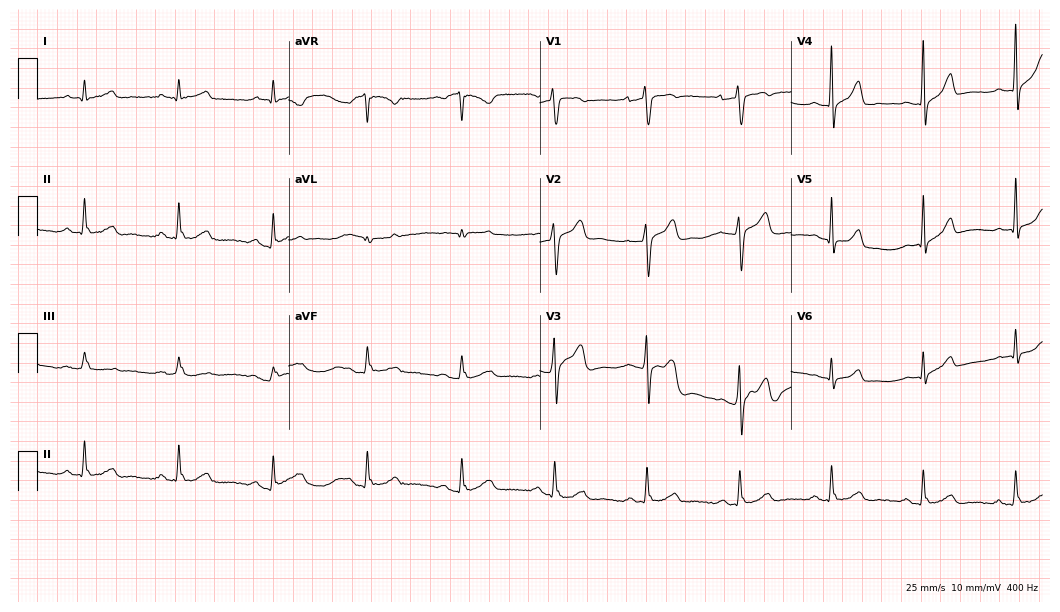
12-lead ECG (10.2-second recording at 400 Hz) from a male patient, 56 years old. Screened for six findings — first-degree AV block, right bundle branch block, left bundle branch block, sinus bradycardia, atrial fibrillation, sinus tachycardia — none is recorded. Findings outside these six are not listed.